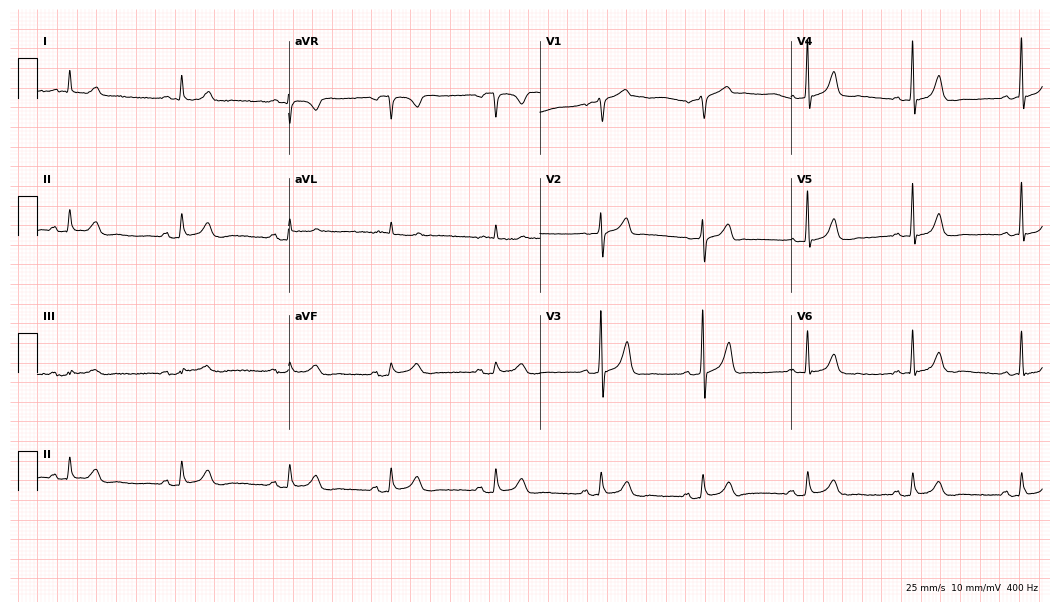
12-lead ECG from a 72-year-old male patient (10.2-second recording at 400 Hz). Recorded interpretation: within normal limits.